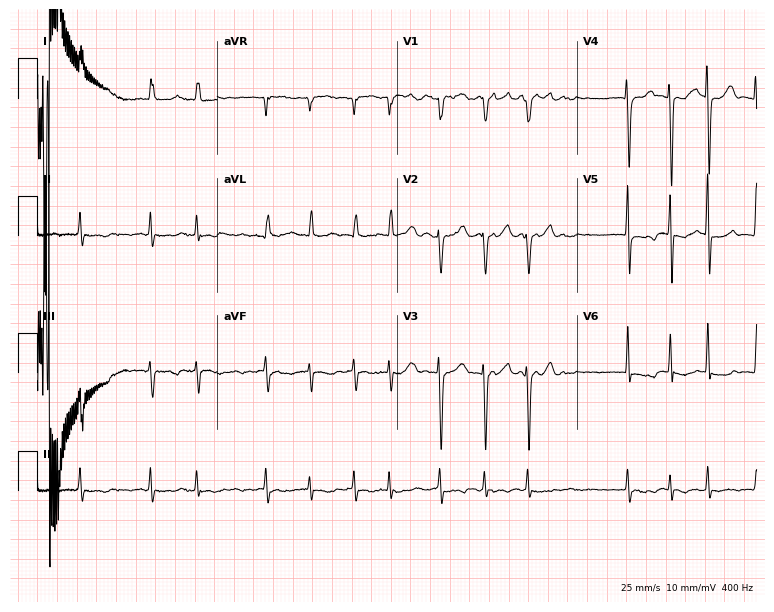
Resting 12-lead electrocardiogram. Patient: an 85-year-old female. The tracing shows atrial fibrillation (AF).